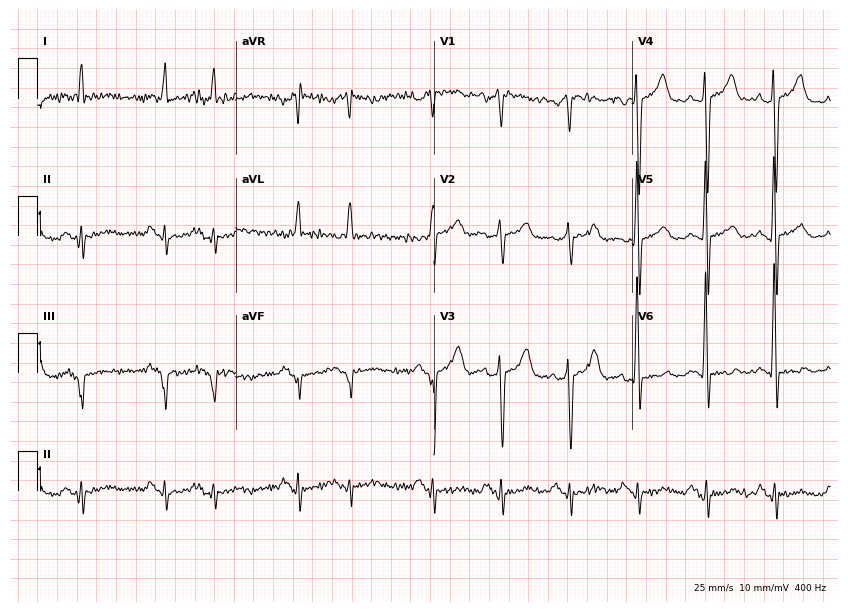
Standard 12-lead ECG recorded from a man, 74 years old. None of these six findings is recorded: first-degree AV block, right bundle branch block (RBBB), left bundle branch block (LBBB), sinus bradycardia, atrial fibrillation (AF), sinus tachycardia. Findings outside these six are not listed.